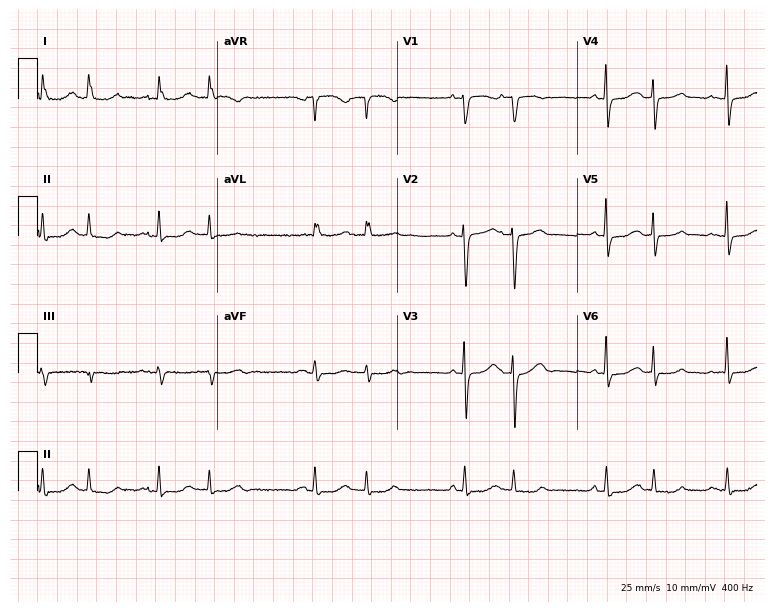
Resting 12-lead electrocardiogram. Patient: a female, 84 years old. Read as a normal ECG.